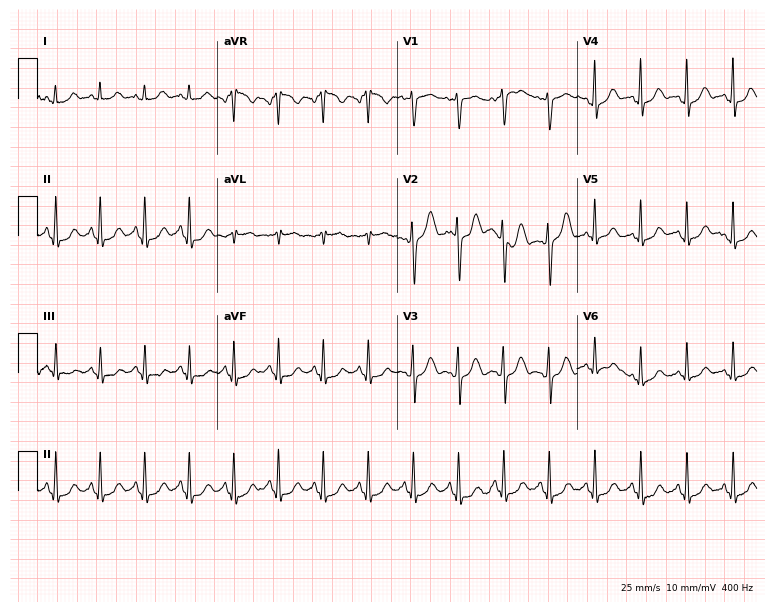
Resting 12-lead electrocardiogram (7.3-second recording at 400 Hz). Patient: a woman, 32 years old. None of these six findings is recorded: first-degree AV block, right bundle branch block, left bundle branch block, sinus bradycardia, atrial fibrillation, sinus tachycardia. Other findings, if any, are not listed.